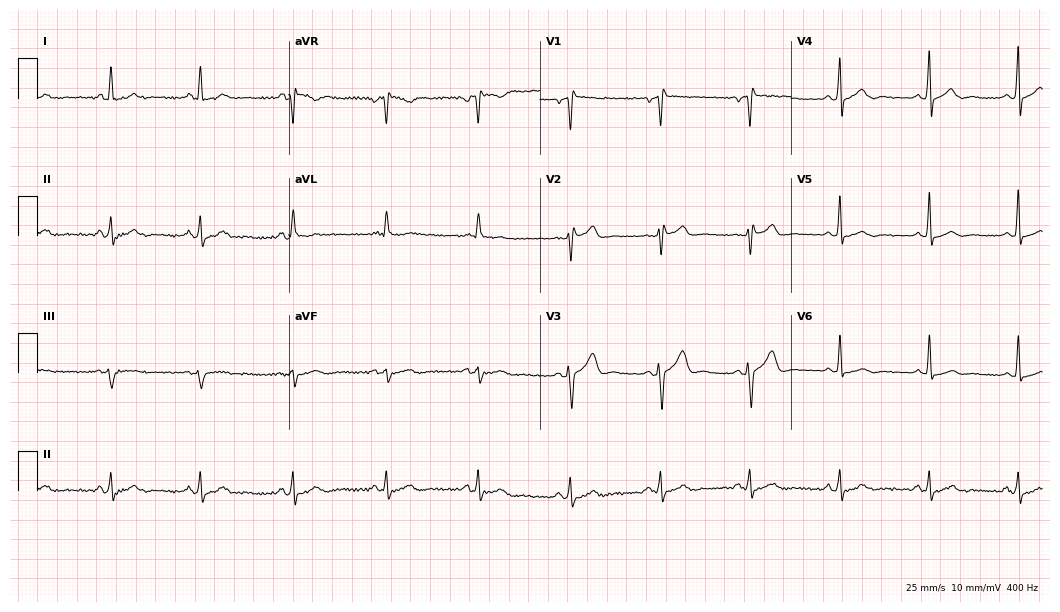
Electrocardiogram (10.2-second recording at 400 Hz), a 35-year-old male patient. Of the six screened findings (first-degree AV block, right bundle branch block, left bundle branch block, sinus bradycardia, atrial fibrillation, sinus tachycardia), none is recorded. Findings outside these six are not listed.